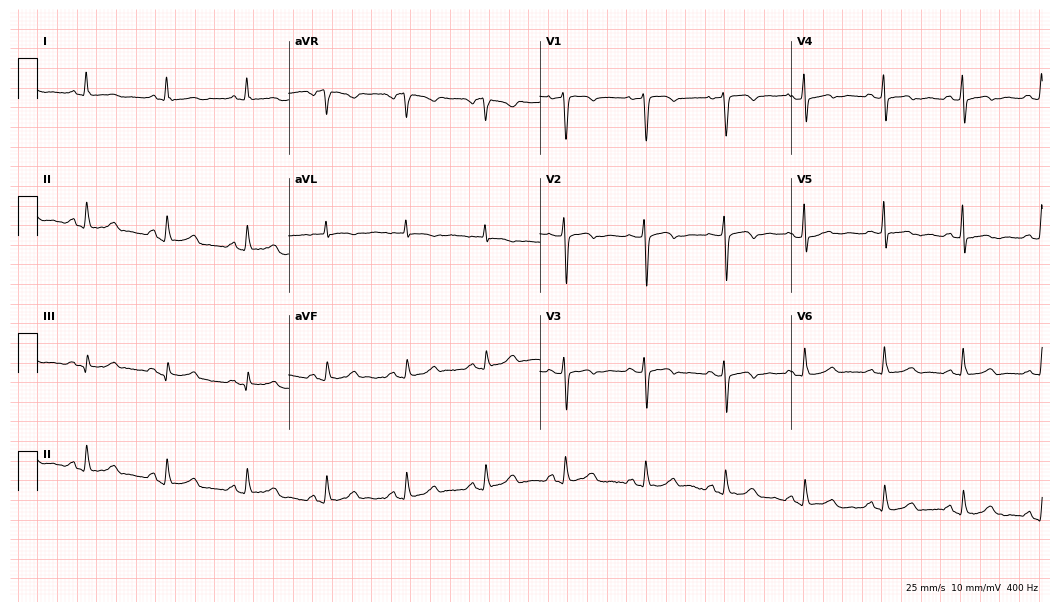
ECG — a female patient, 80 years old. Screened for six findings — first-degree AV block, right bundle branch block (RBBB), left bundle branch block (LBBB), sinus bradycardia, atrial fibrillation (AF), sinus tachycardia — none is recorded.